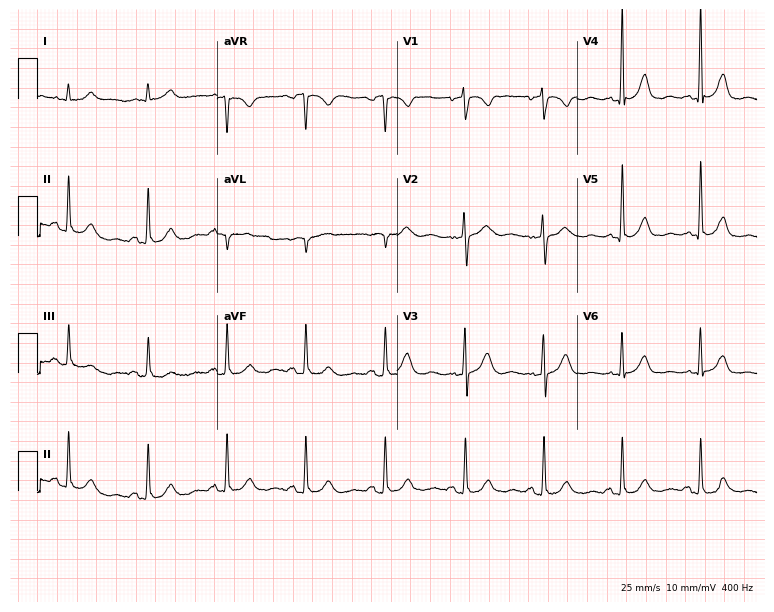
ECG — a 67-year-old woman. Labelled as a normal ECG.